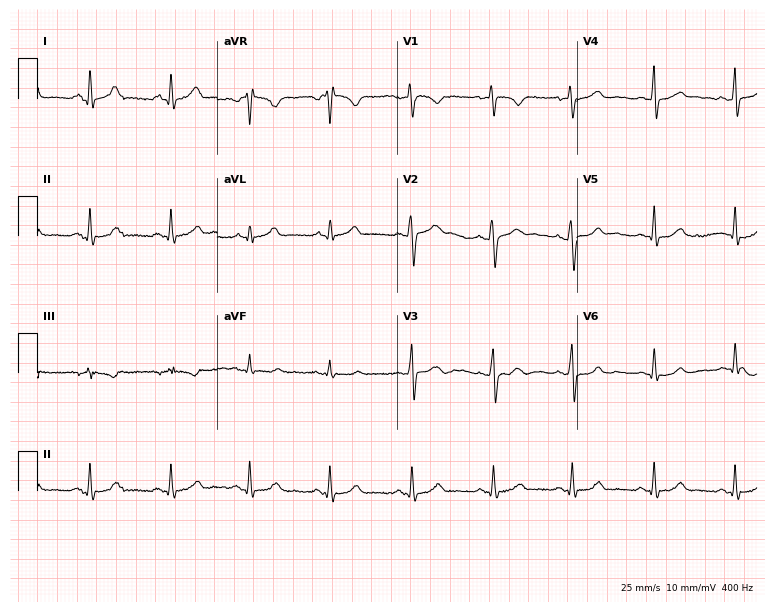
12-lead ECG from a 34-year-old female patient. Screened for six findings — first-degree AV block, right bundle branch block (RBBB), left bundle branch block (LBBB), sinus bradycardia, atrial fibrillation (AF), sinus tachycardia — none is recorded. Other findings, if any, are not listed.